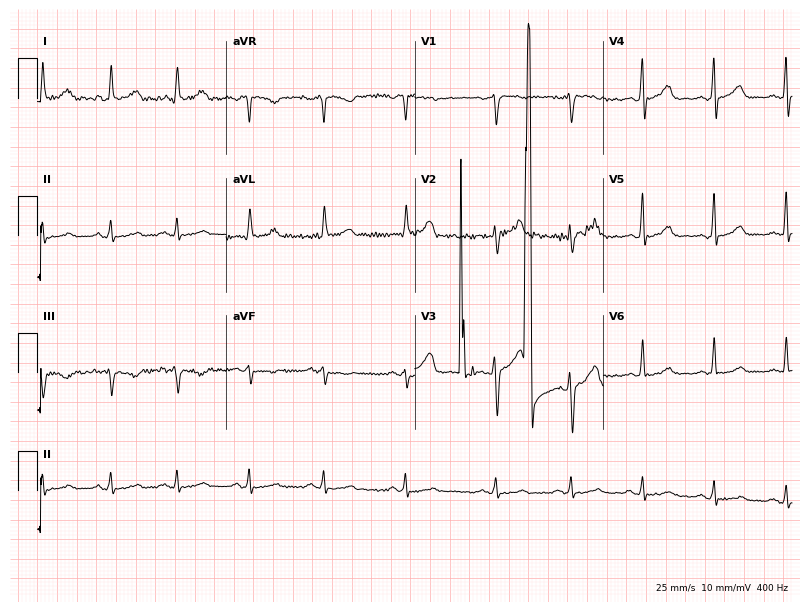
ECG — a 40-year-old man. Labelled as a normal ECG.